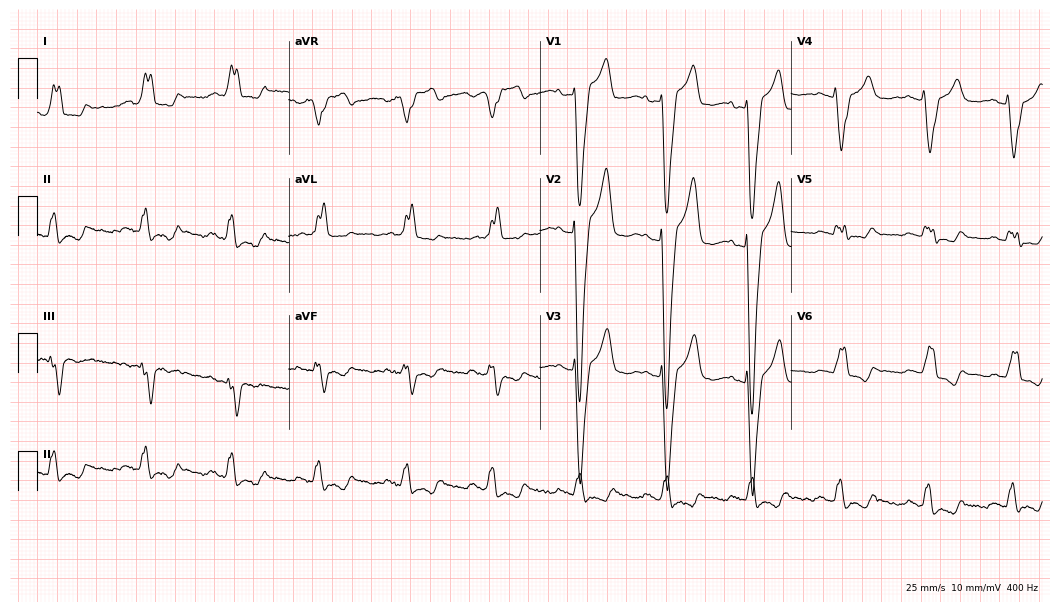
Standard 12-lead ECG recorded from a woman, 58 years old. The tracing shows left bundle branch block (LBBB).